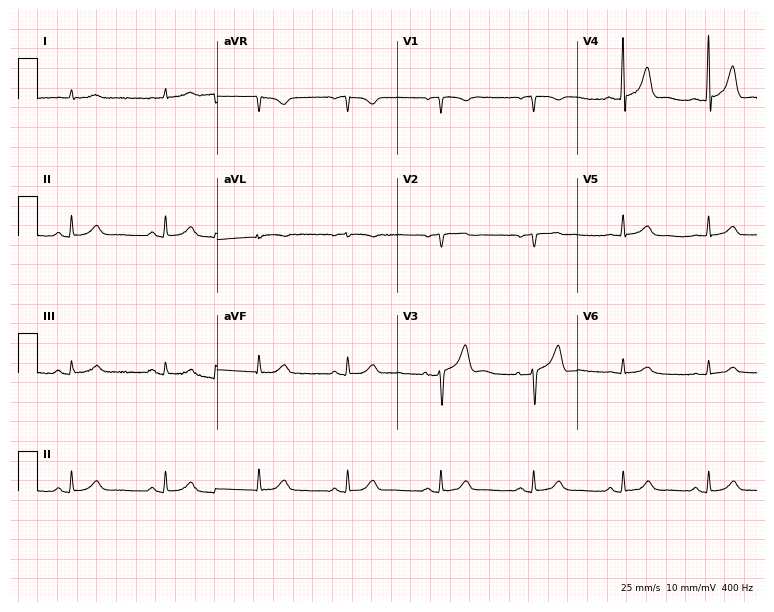
Electrocardiogram, a female patient, 63 years old. Overall reading on record: normal ECG.